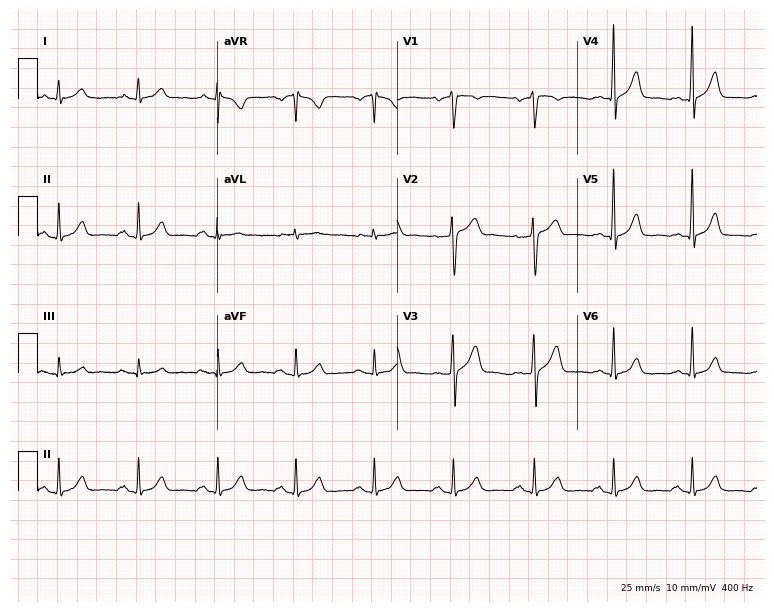
ECG — a man, 62 years old. Labelled as a normal ECG.